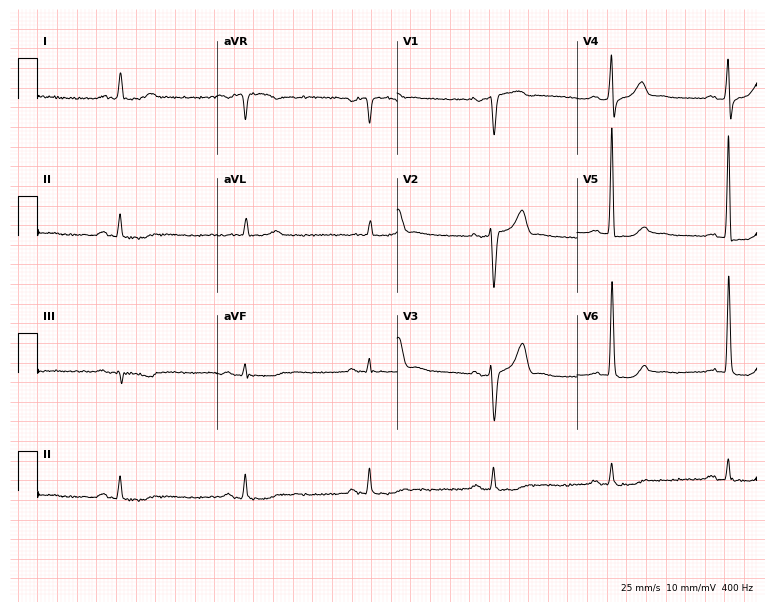
12-lead ECG from a 78-year-old male (7.3-second recording at 400 Hz). Shows sinus bradycardia (a sinus rate of 50 beats per minute or less).